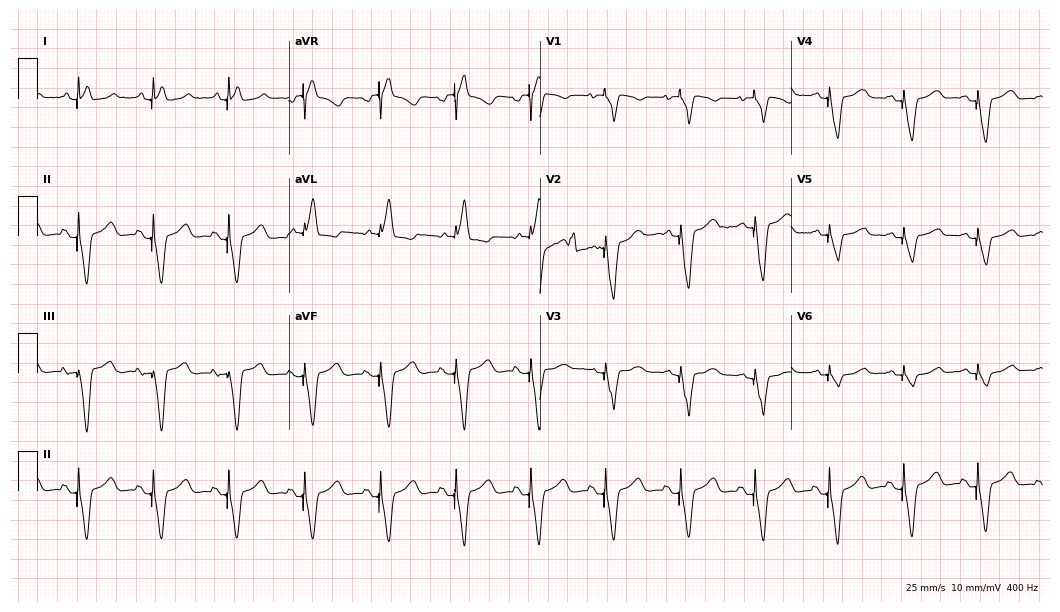
Standard 12-lead ECG recorded from a 52-year-old man. None of these six findings is recorded: first-degree AV block, right bundle branch block, left bundle branch block, sinus bradycardia, atrial fibrillation, sinus tachycardia. Findings outside these six are not listed.